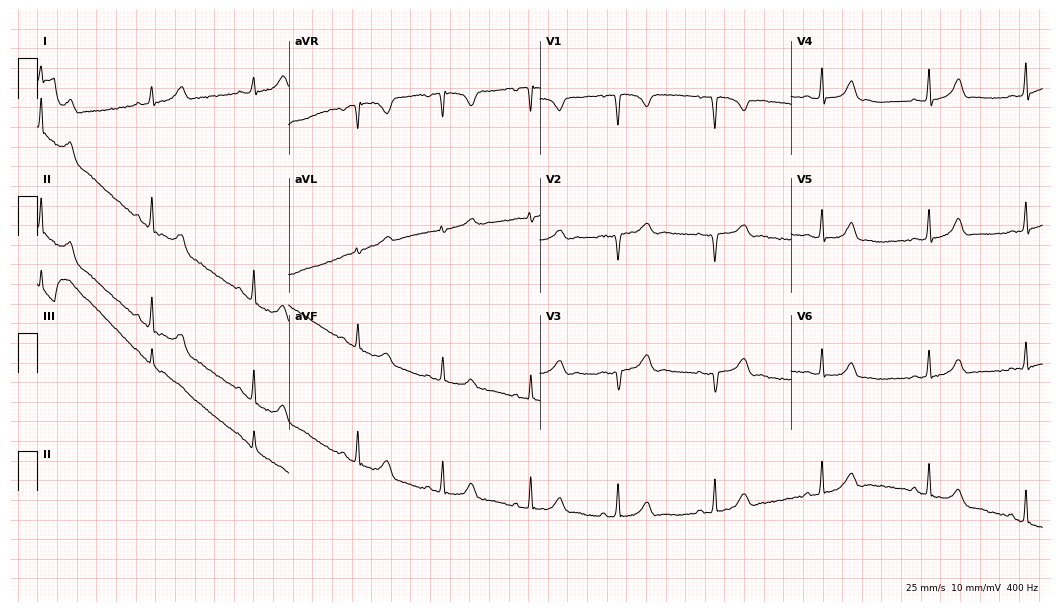
12-lead ECG (10.2-second recording at 400 Hz) from a female, 18 years old. Screened for six findings — first-degree AV block, right bundle branch block, left bundle branch block, sinus bradycardia, atrial fibrillation, sinus tachycardia — none is recorded. Only these six findings were labelled.